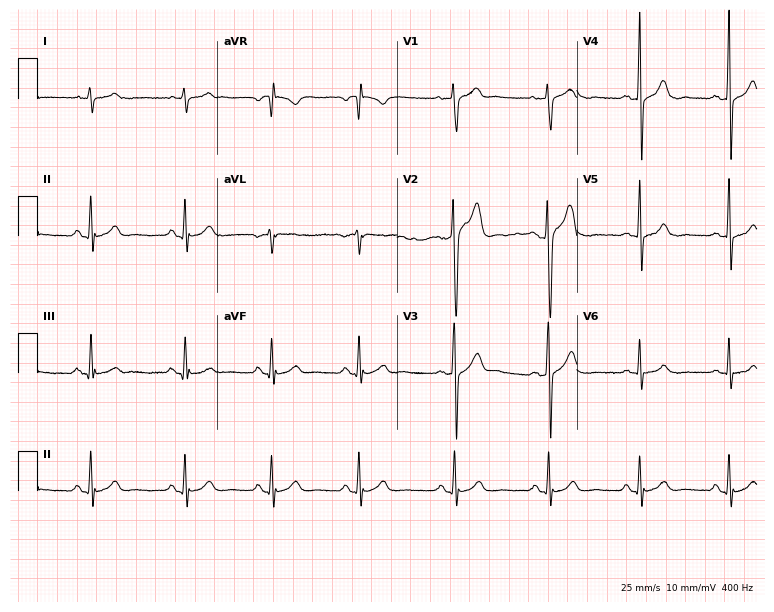
12-lead ECG from a 30-year-old male patient. No first-degree AV block, right bundle branch block, left bundle branch block, sinus bradycardia, atrial fibrillation or sinus tachycardia recorded for this tracing. Findings outside these six are not listed.